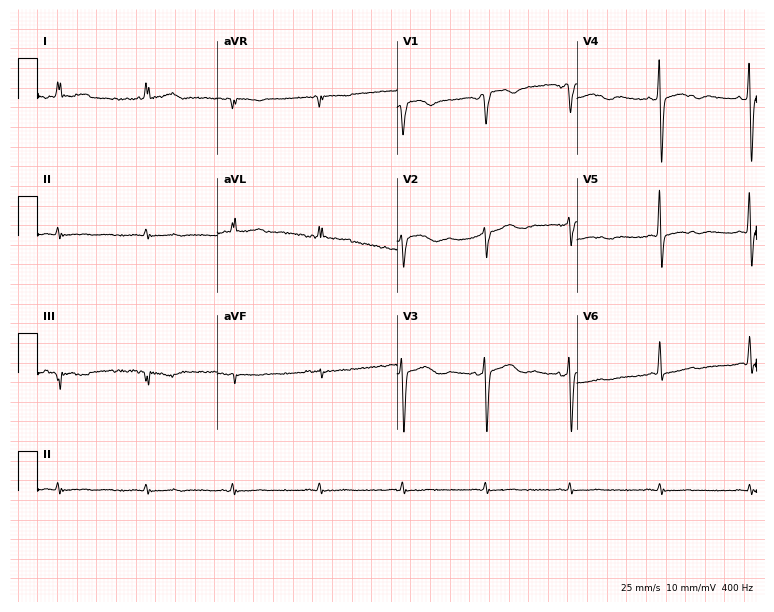
Electrocardiogram (7.3-second recording at 400 Hz), a woman, 68 years old. Of the six screened findings (first-degree AV block, right bundle branch block (RBBB), left bundle branch block (LBBB), sinus bradycardia, atrial fibrillation (AF), sinus tachycardia), none is recorded.